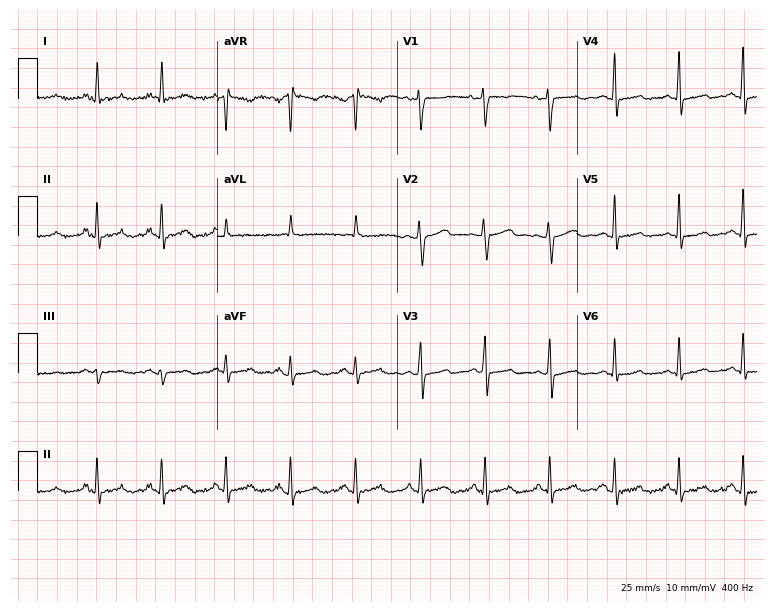
Electrocardiogram (7.3-second recording at 400 Hz), a 51-year-old female. Of the six screened findings (first-degree AV block, right bundle branch block (RBBB), left bundle branch block (LBBB), sinus bradycardia, atrial fibrillation (AF), sinus tachycardia), none is recorded.